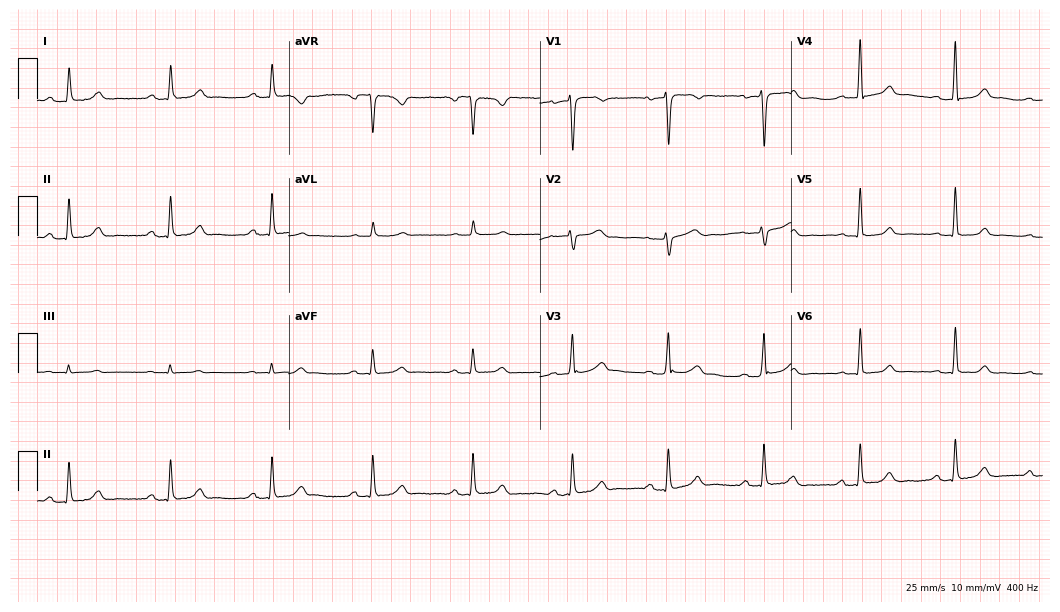
Resting 12-lead electrocardiogram (10.2-second recording at 400 Hz). Patient: a female, 57 years old. The tracing shows first-degree AV block.